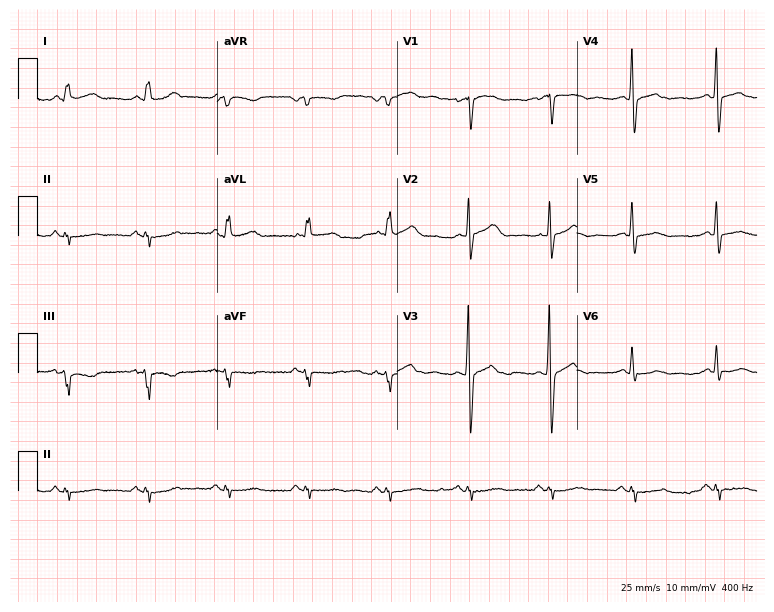
Resting 12-lead electrocardiogram. Patient: a male, 71 years old. None of these six findings is recorded: first-degree AV block, right bundle branch block (RBBB), left bundle branch block (LBBB), sinus bradycardia, atrial fibrillation (AF), sinus tachycardia. Findings outside these six are not listed.